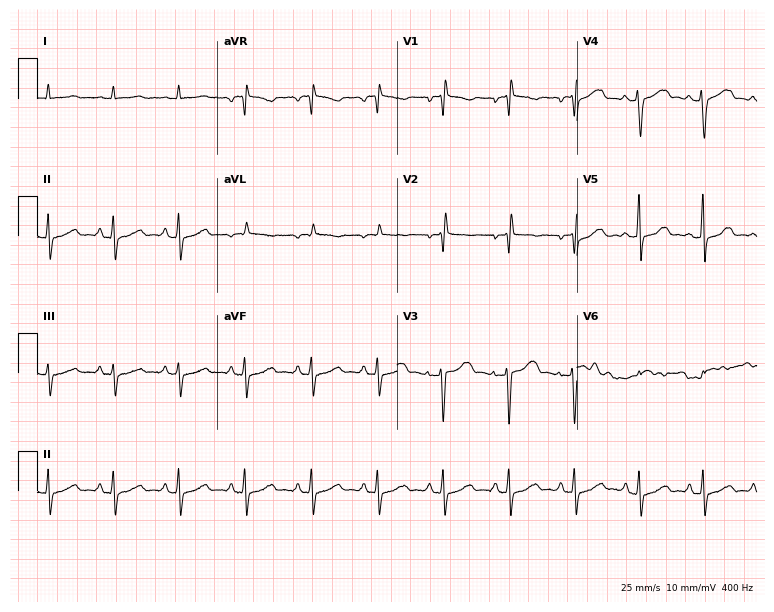
12-lead ECG (7.3-second recording at 400 Hz) from a female, 52 years old. Screened for six findings — first-degree AV block, right bundle branch block (RBBB), left bundle branch block (LBBB), sinus bradycardia, atrial fibrillation (AF), sinus tachycardia — none is recorded. Other findings, if any, are not listed.